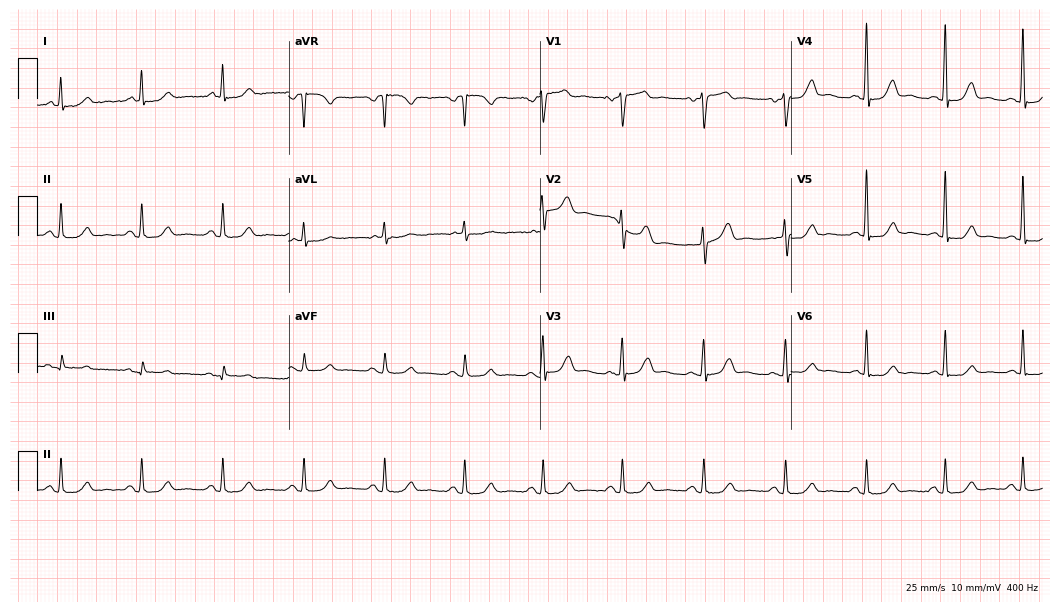
Electrocardiogram, a 70-year-old woman. Overall reading on record: normal ECG.